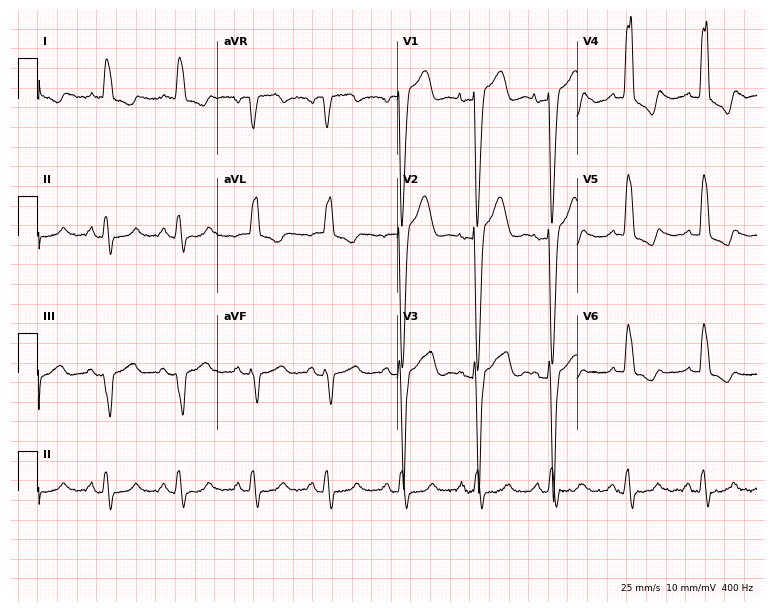
12-lead ECG (7.3-second recording at 400 Hz) from an 84-year-old woman. Findings include left bundle branch block.